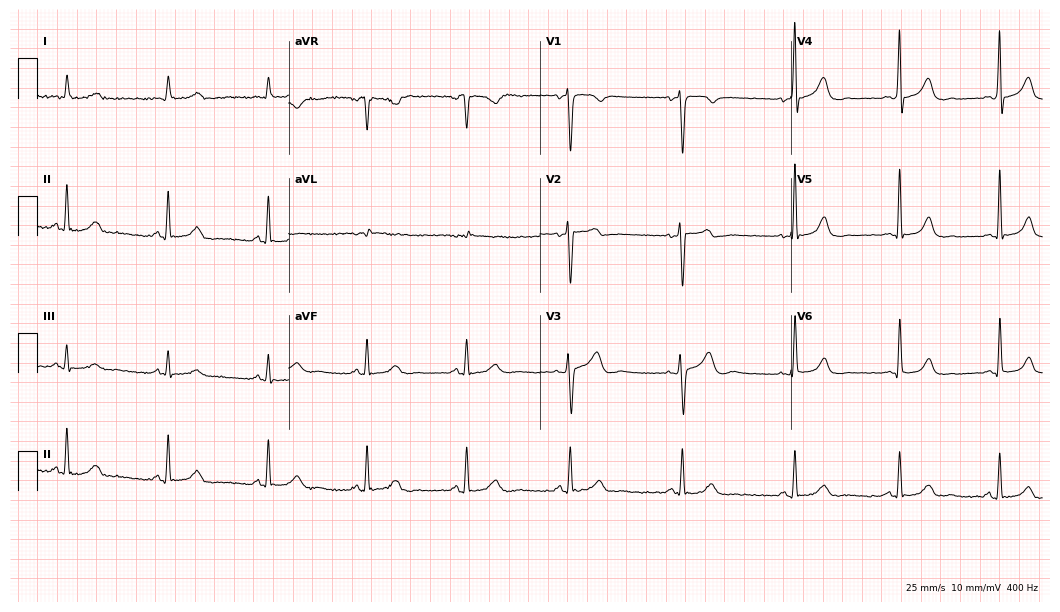
Electrocardiogram (10.2-second recording at 400 Hz), a 32-year-old male. Overall reading on record: normal ECG.